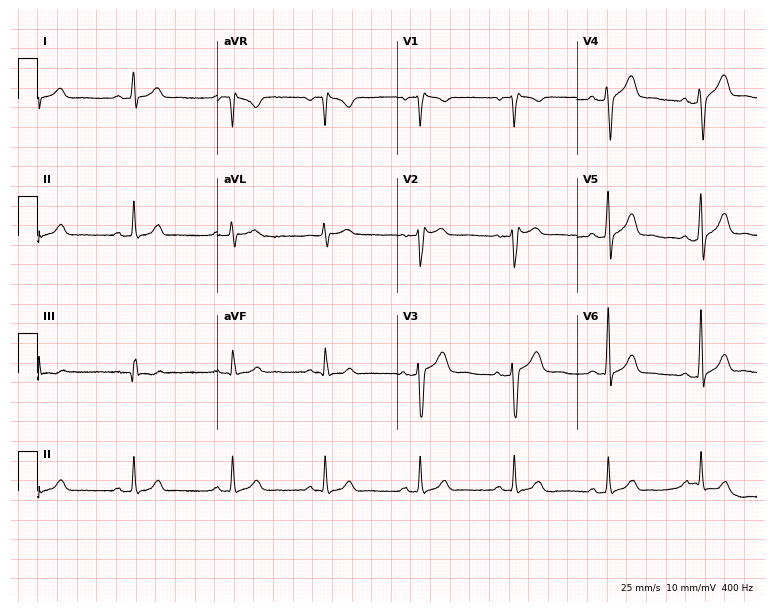
Resting 12-lead electrocardiogram. Patient: a male, 40 years old. None of these six findings is recorded: first-degree AV block, right bundle branch block, left bundle branch block, sinus bradycardia, atrial fibrillation, sinus tachycardia.